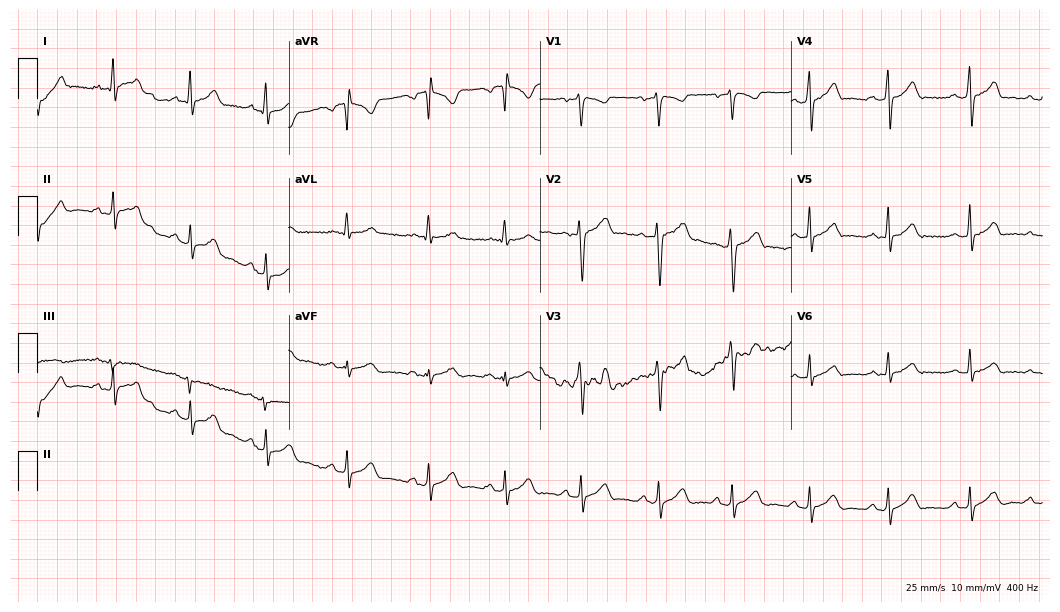
Standard 12-lead ECG recorded from a male, 28 years old (10.2-second recording at 400 Hz). None of these six findings is recorded: first-degree AV block, right bundle branch block, left bundle branch block, sinus bradycardia, atrial fibrillation, sinus tachycardia. Only these six findings were labelled.